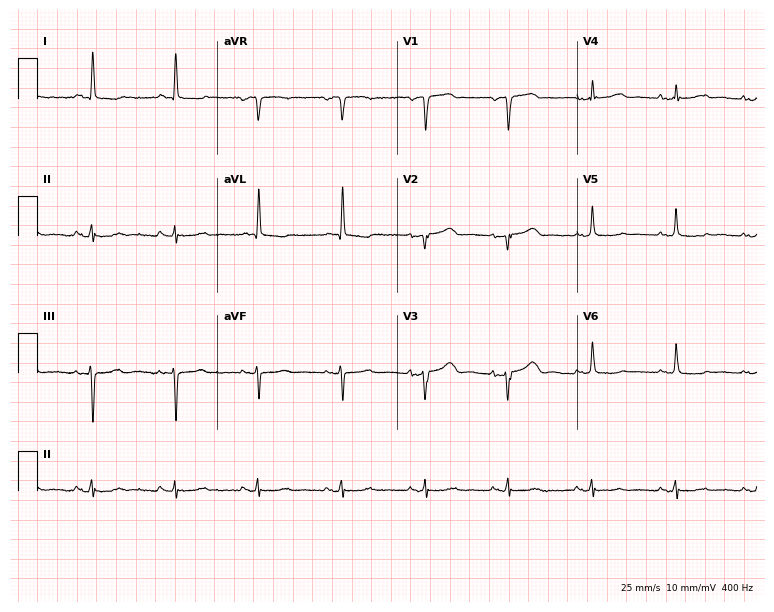
Standard 12-lead ECG recorded from a 71-year-old woman (7.3-second recording at 400 Hz). None of these six findings is recorded: first-degree AV block, right bundle branch block, left bundle branch block, sinus bradycardia, atrial fibrillation, sinus tachycardia. Findings outside these six are not listed.